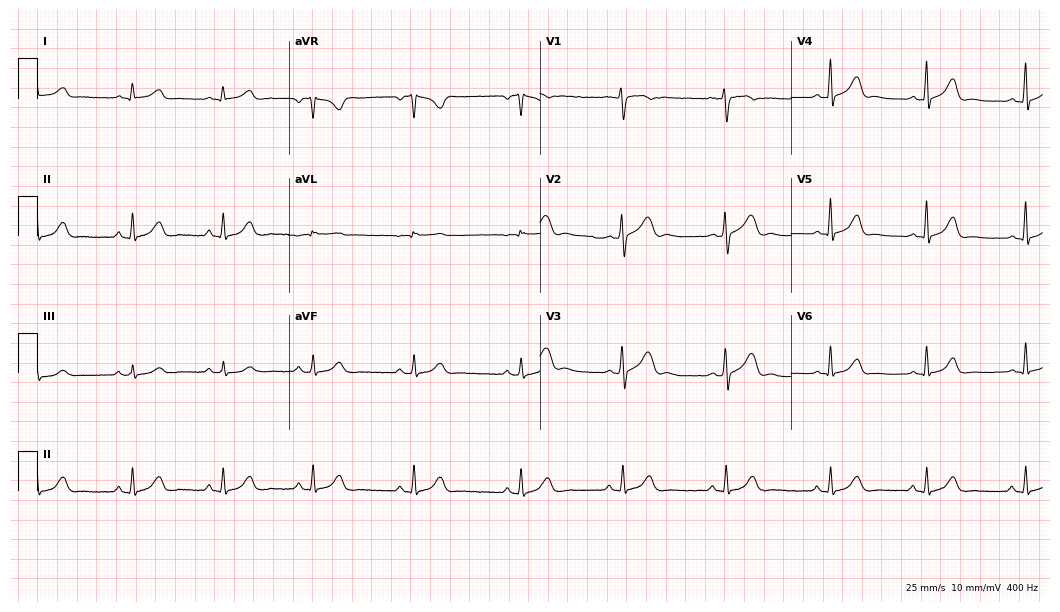
12-lead ECG (10.2-second recording at 400 Hz) from a woman, 42 years old. Screened for six findings — first-degree AV block, right bundle branch block, left bundle branch block, sinus bradycardia, atrial fibrillation, sinus tachycardia — none is recorded.